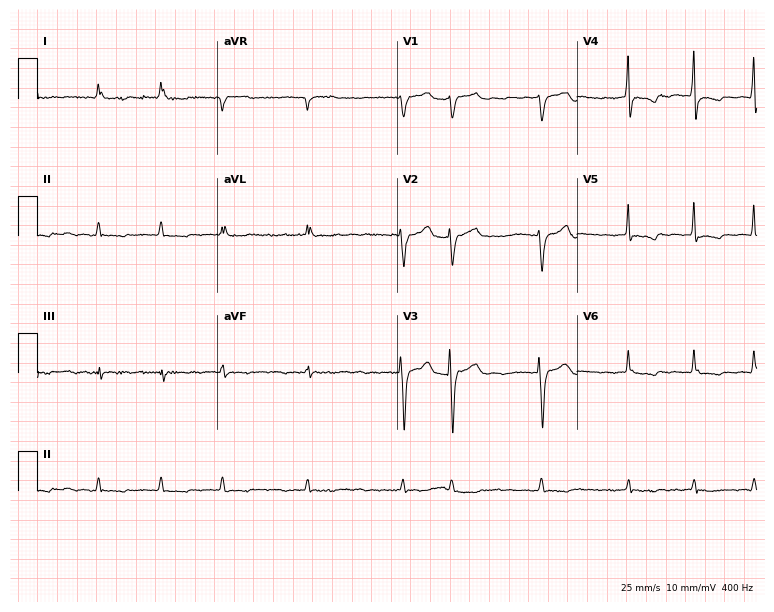
Electrocardiogram (7.3-second recording at 400 Hz), a 57-year-old female patient. Interpretation includes atrial fibrillation (AF).